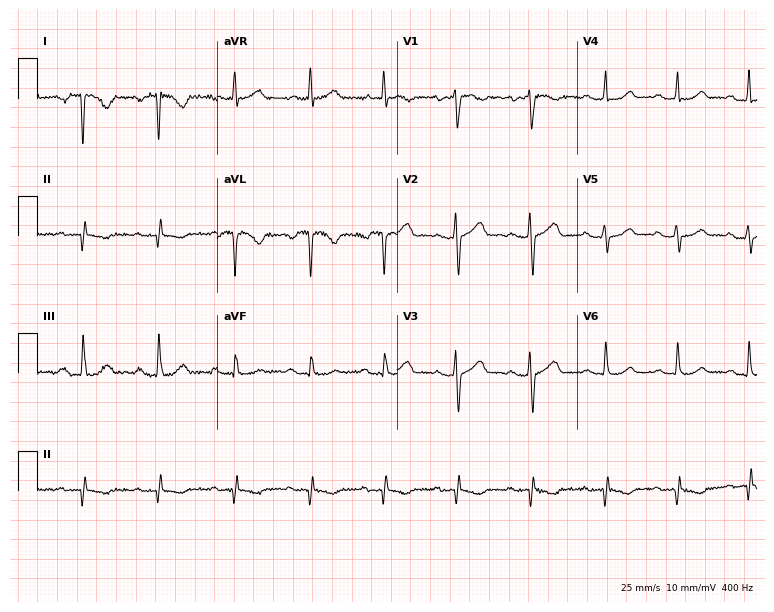
Electrocardiogram, a female, 62 years old. Of the six screened findings (first-degree AV block, right bundle branch block, left bundle branch block, sinus bradycardia, atrial fibrillation, sinus tachycardia), none is recorded.